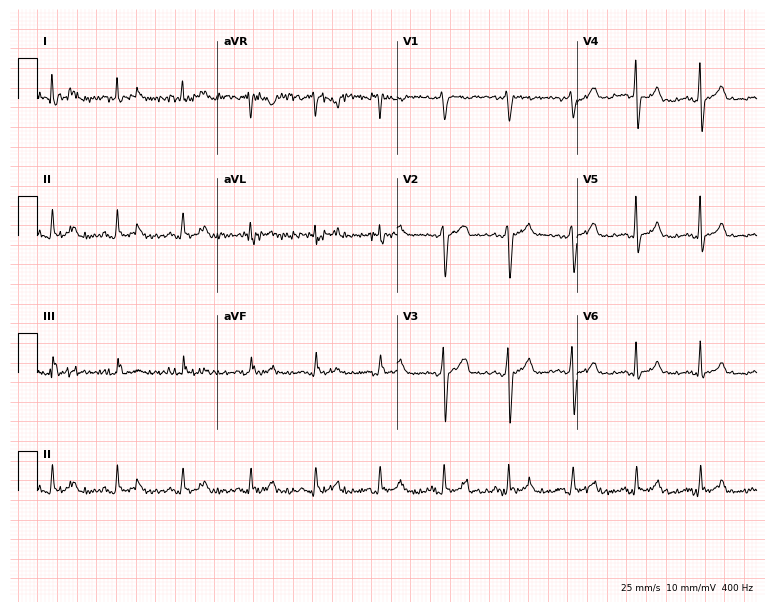
Standard 12-lead ECG recorded from a 44-year-old male patient (7.3-second recording at 400 Hz). None of these six findings is recorded: first-degree AV block, right bundle branch block (RBBB), left bundle branch block (LBBB), sinus bradycardia, atrial fibrillation (AF), sinus tachycardia.